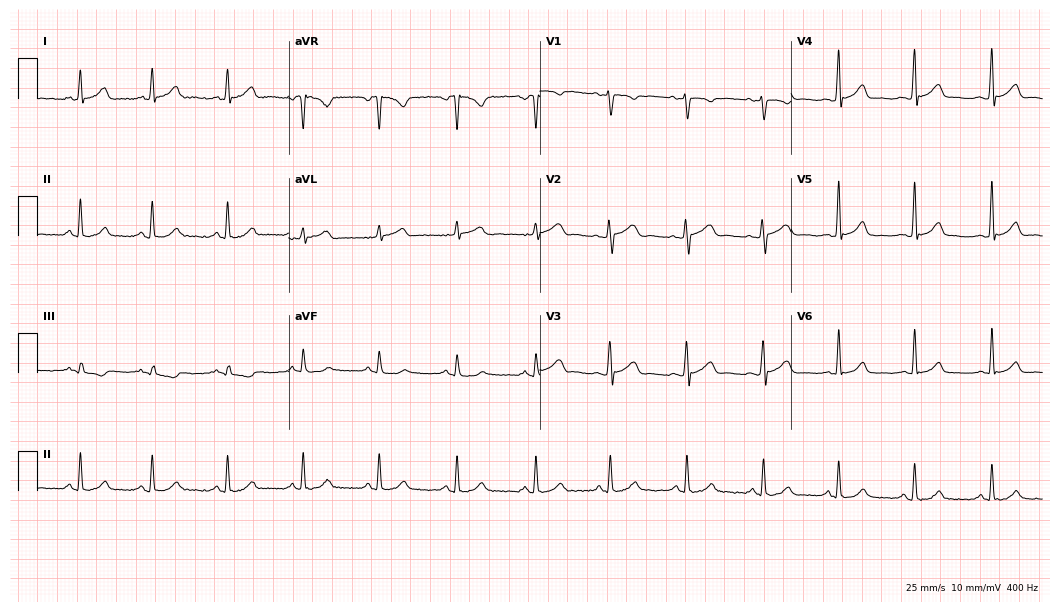
ECG (10.2-second recording at 400 Hz) — a female patient, 43 years old. Labelled as a normal ECG.